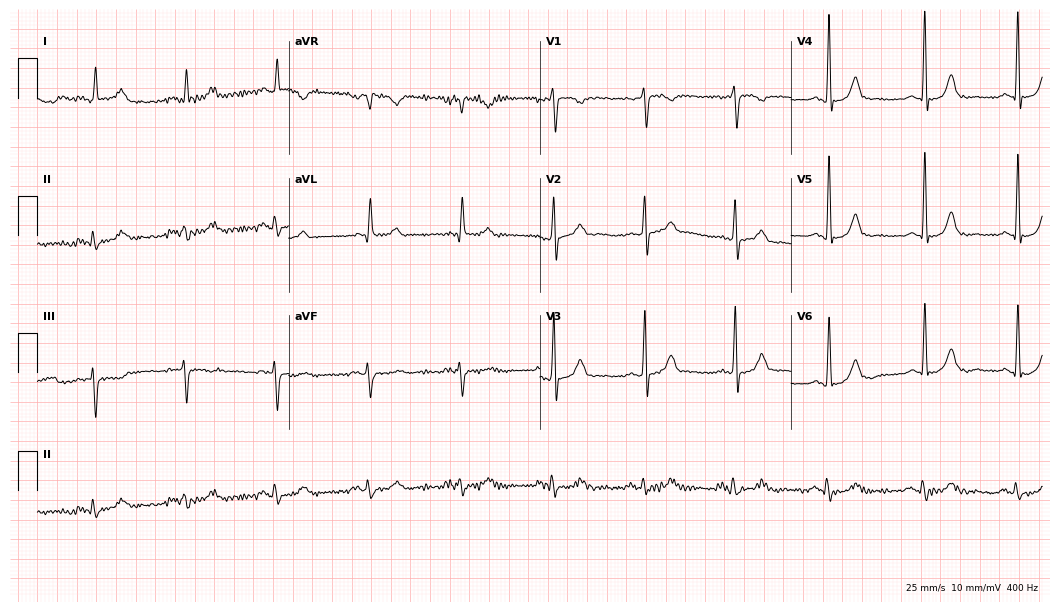
12-lead ECG from a male patient, 71 years old. Recorded interpretation: within normal limits.